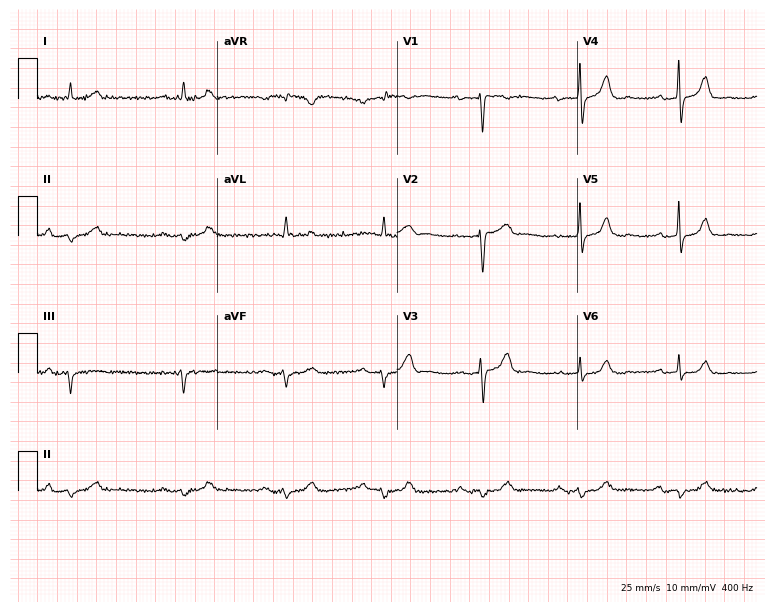
Resting 12-lead electrocardiogram (7.3-second recording at 400 Hz). Patient: an 82-year-old male. None of these six findings is recorded: first-degree AV block, right bundle branch block, left bundle branch block, sinus bradycardia, atrial fibrillation, sinus tachycardia.